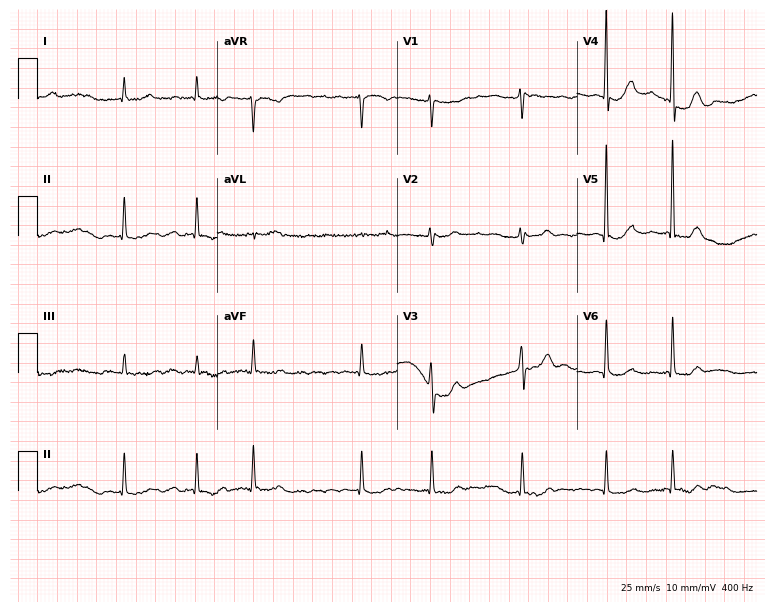
Standard 12-lead ECG recorded from a 78-year-old female patient. The tracing shows atrial fibrillation (AF).